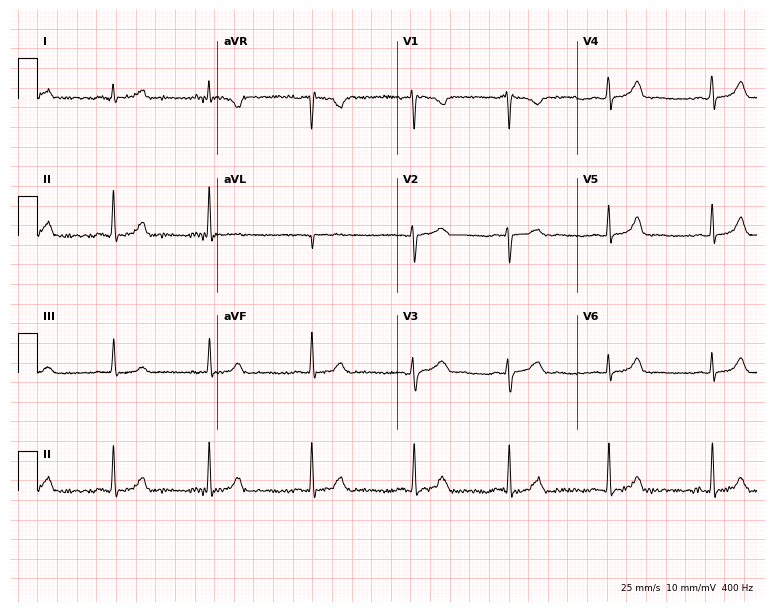
Resting 12-lead electrocardiogram. Patient: a female, 29 years old. Read as a normal ECG.